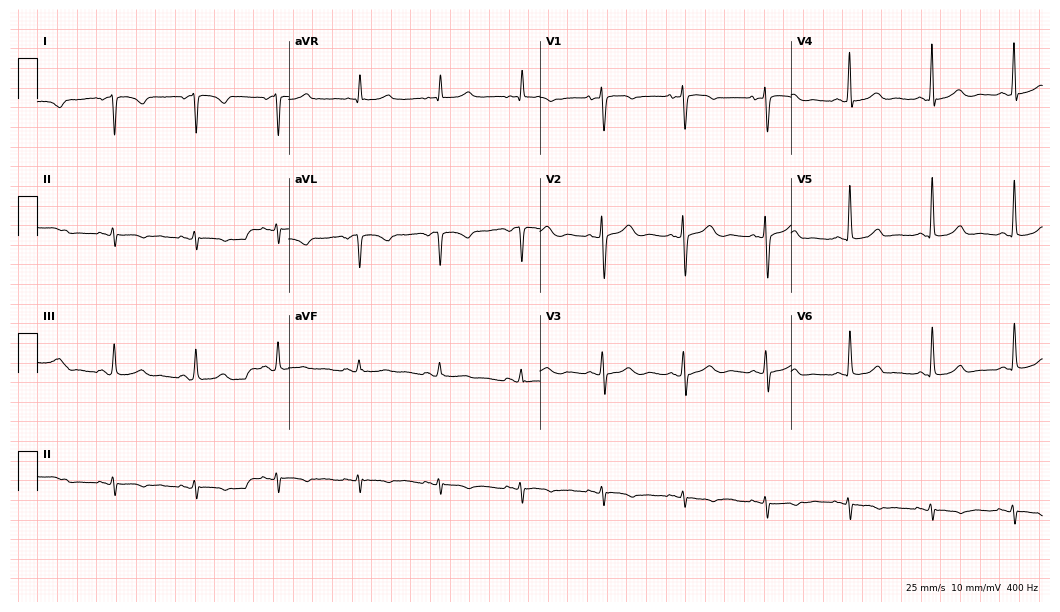
Resting 12-lead electrocardiogram. Patient: a woman, 70 years old. None of these six findings is recorded: first-degree AV block, right bundle branch block (RBBB), left bundle branch block (LBBB), sinus bradycardia, atrial fibrillation (AF), sinus tachycardia. Findings outside these six are not listed.